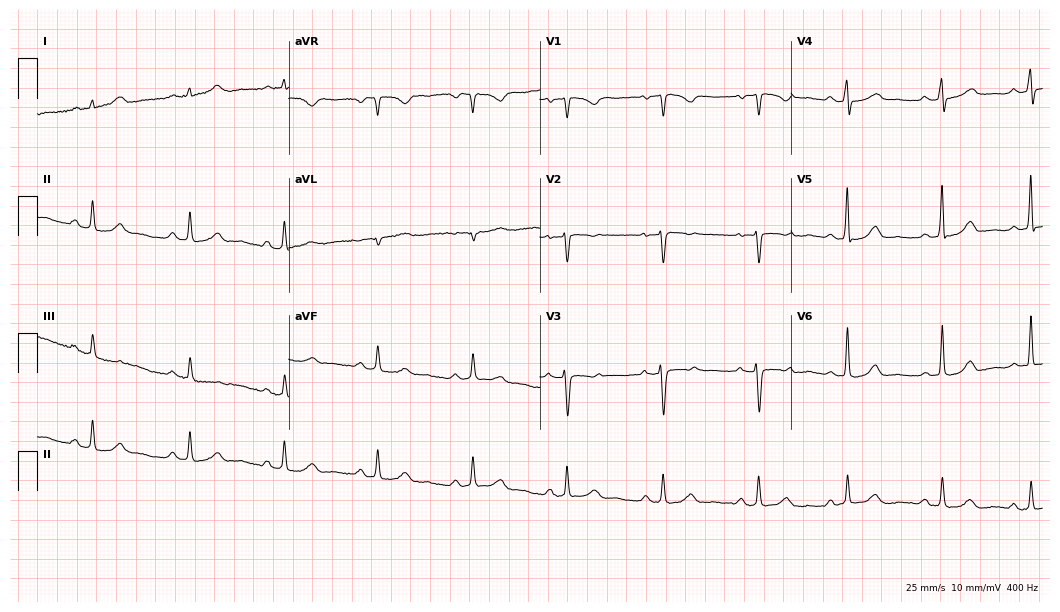
12-lead ECG (10.2-second recording at 400 Hz) from a female, 34 years old. Screened for six findings — first-degree AV block, right bundle branch block (RBBB), left bundle branch block (LBBB), sinus bradycardia, atrial fibrillation (AF), sinus tachycardia — none is recorded. Findings outside these six are not listed.